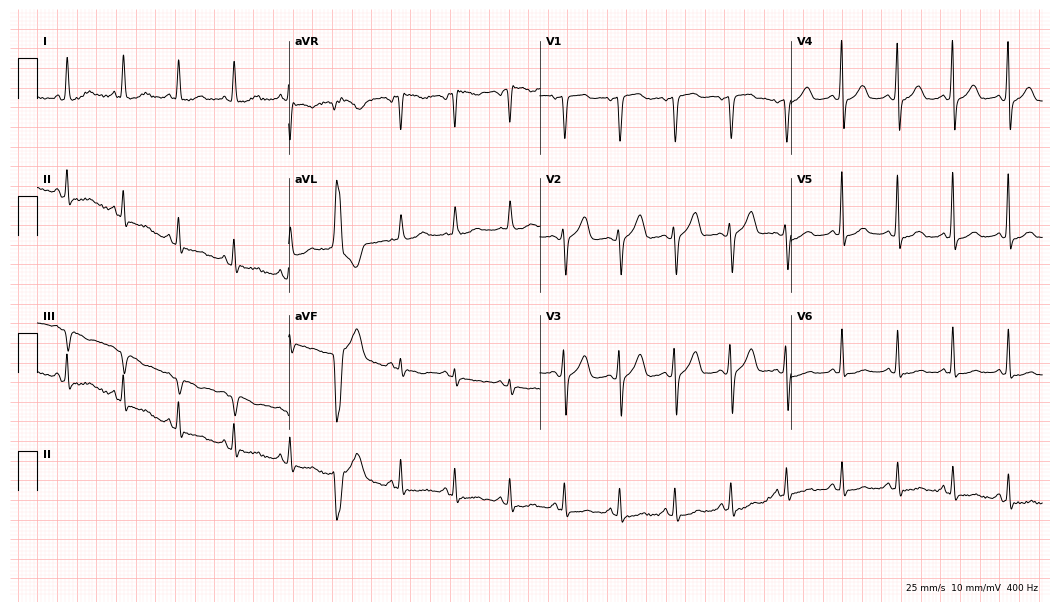
Electrocardiogram, a woman, 69 years old. Interpretation includes sinus tachycardia (a sinus rate of 100 beats per minute or more).